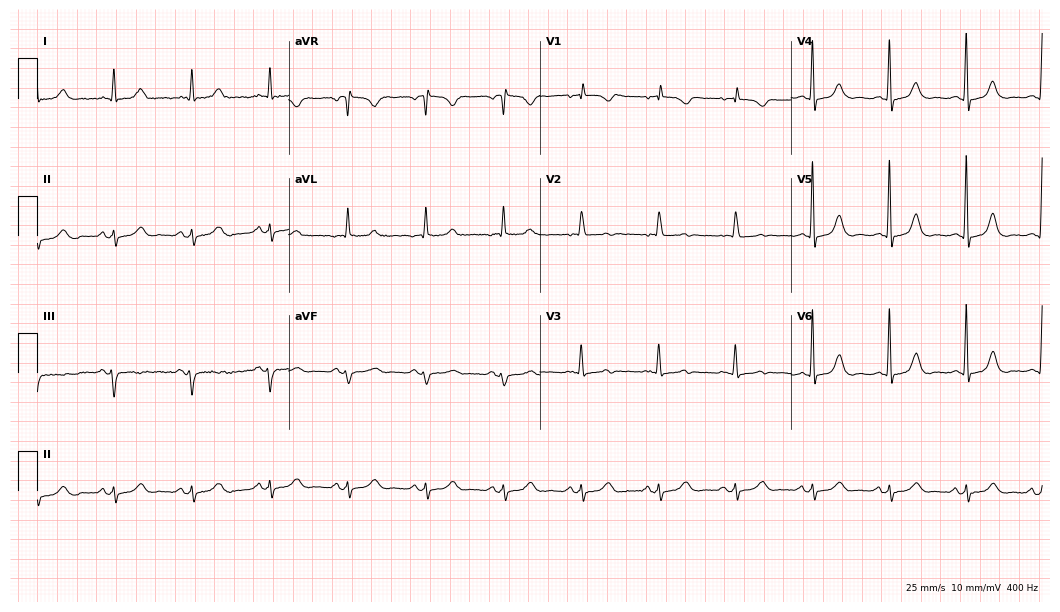
Electrocardiogram, a female patient, 83 years old. Of the six screened findings (first-degree AV block, right bundle branch block (RBBB), left bundle branch block (LBBB), sinus bradycardia, atrial fibrillation (AF), sinus tachycardia), none is recorded.